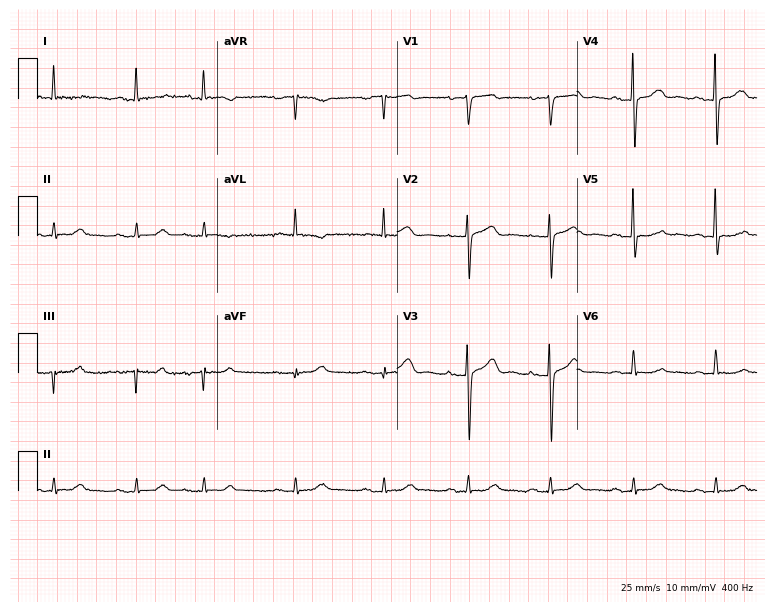
Standard 12-lead ECG recorded from a male, 78 years old. None of these six findings is recorded: first-degree AV block, right bundle branch block, left bundle branch block, sinus bradycardia, atrial fibrillation, sinus tachycardia. Findings outside these six are not listed.